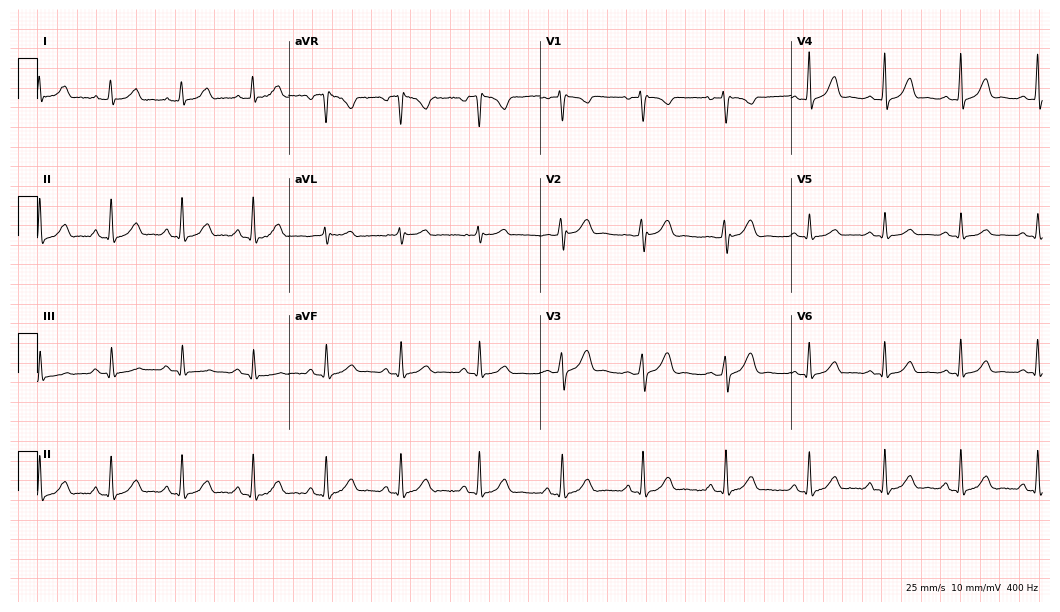
ECG (10.2-second recording at 400 Hz) — a female, 26 years old. Screened for six findings — first-degree AV block, right bundle branch block, left bundle branch block, sinus bradycardia, atrial fibrillation, sinus tachycardia — none is recorded. Findings outside these six are not listed.